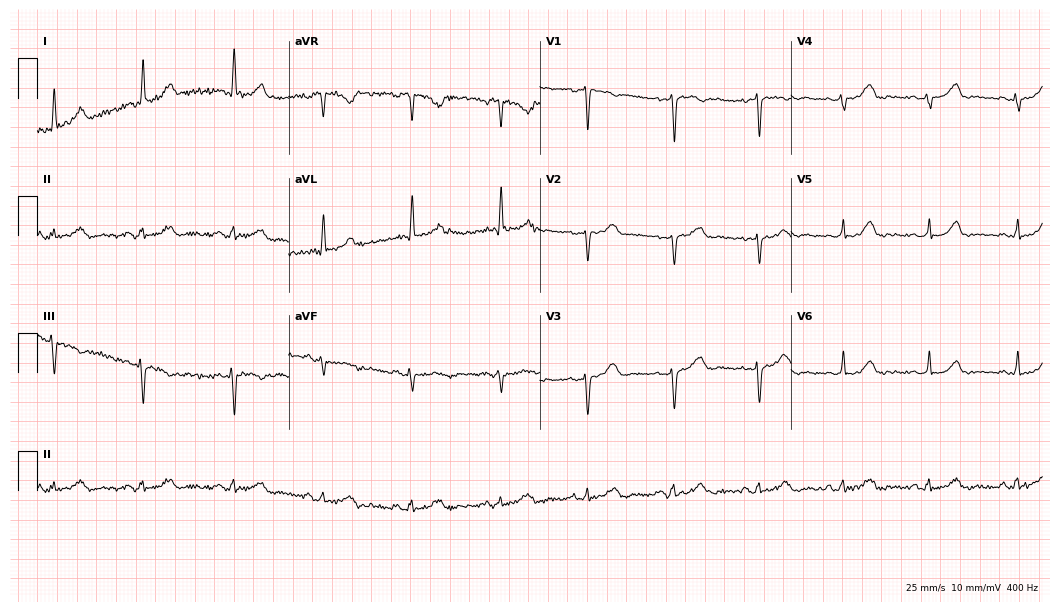
Standard 12-lead ECG recorded from a female, 49 years old (10.2-second recording at 400 Hz). Read as a normal ECG.